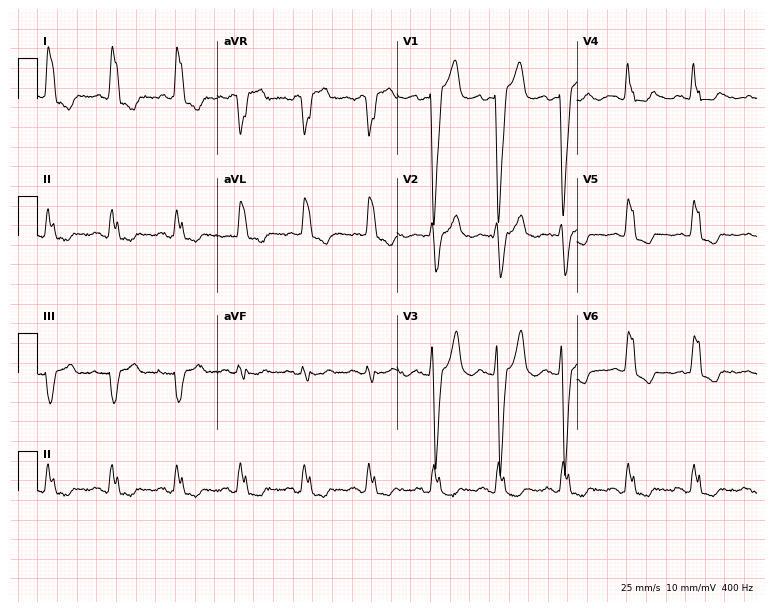
12-lead ECG from a female, 83 years old. Shows left bundle branch block.